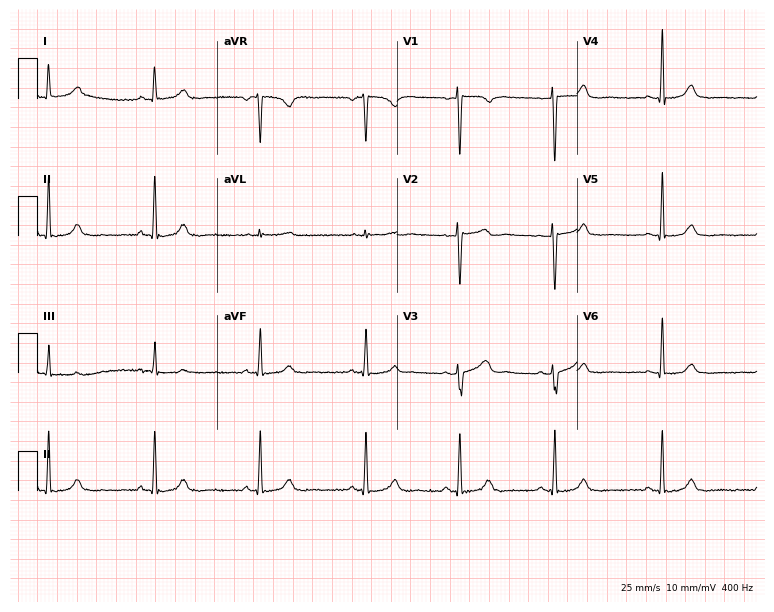
Electrocardiogram (7.3-second recording at 400 Hz), a 30-year-old woman. Overall reading on record: normal ECG.